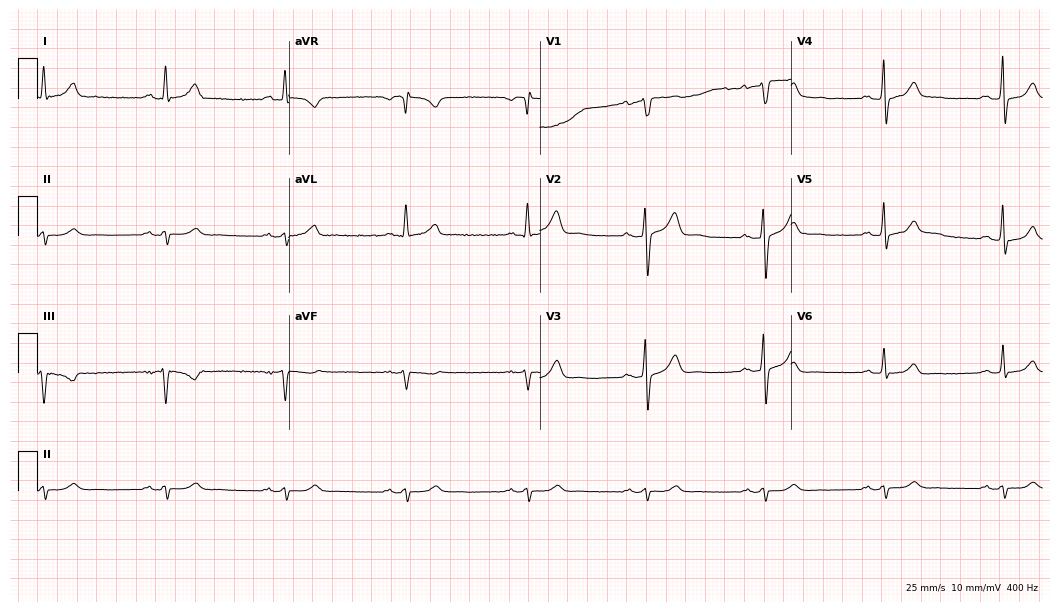
12-lead ECG from a 70-year-old male patient (10.2-second recording at 400 Hz). No first-degree AV block, right bundle branch block (RBBB), left bundle branch block (LBBB), sinus bradycardia, atrial fibrillation (AF) or sinus tachycardia recorded for this tracing. Other findings, if any, are not listed.